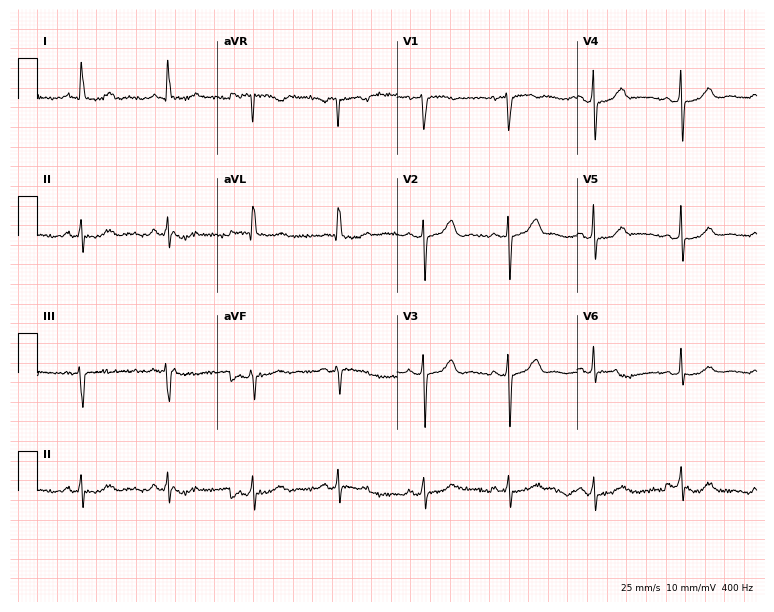
Resting 12-lead electrocardiogram (7.3-second recording at 400 Hz). Patient: a female, 69 years old. None of these six findings is recorded: first-degree AV block, right bundle branch block, left bundle branch block, sinus bradycardia, atrial fibrillation, sinus tachycardia. Other findings, if any, are not listed.